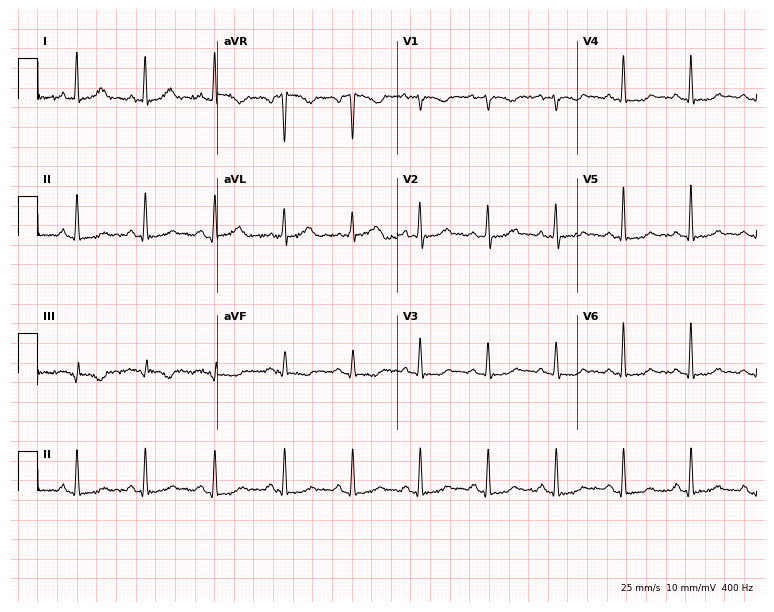
ECG — a 35-year-old female. Screened for six findings — first-degree AV block, right bundle branch block, left bundle branch block, sinus bradycardia, atrial fibrillation, sinus tachycardia — none is recorded. Findings outside these six are not listed.